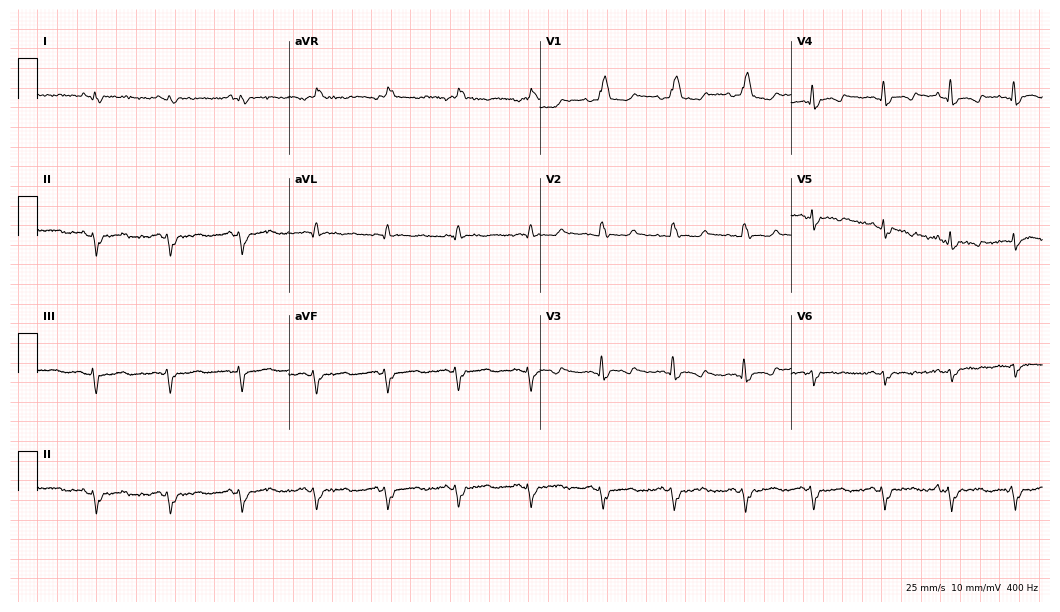
12-lead ECG from a 74-year-old male patient. Screened for six findings — first-degree AV block, right bundle branch block, left bundle branch block, sinus bradycardia, atrial fibrillation, sinus tachycardia — none is recorded.